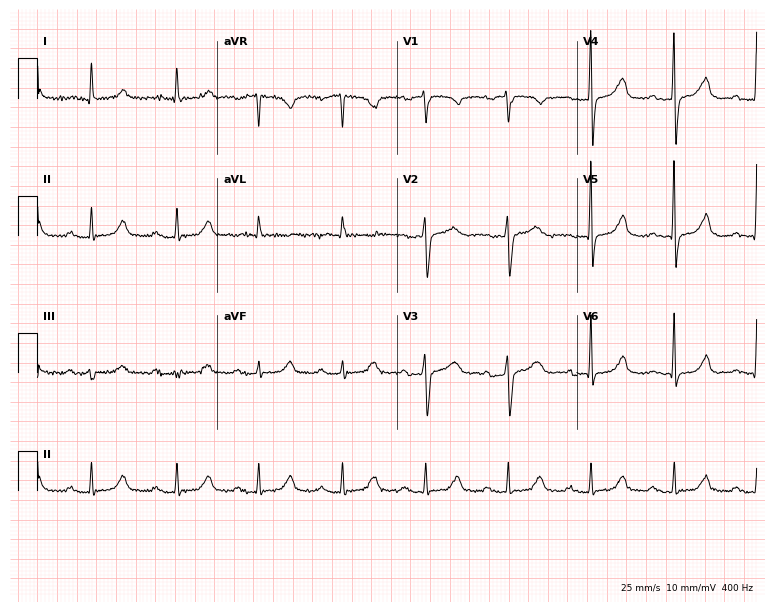
12-lead ECG (7.3-second recording at 400 Hz) from a female, 68 years old. Findings include first-degree AV block.